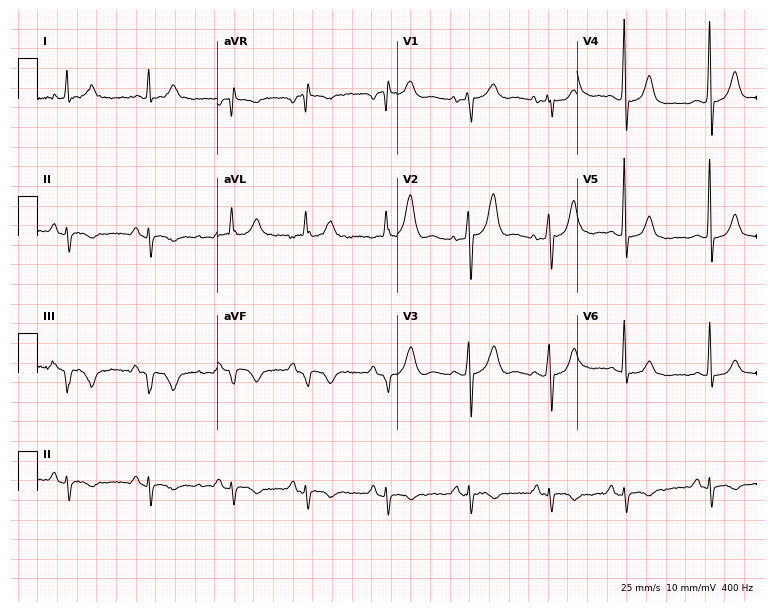
12-lead ECG from a male, 65 years old. Screened for six findings — first-degree AV block, right bundle branch block, left bundle branch block, sinus bradycardia, atrial fibrillation, sinus tachycardia — none is recorded. Only these six findings were labelled.